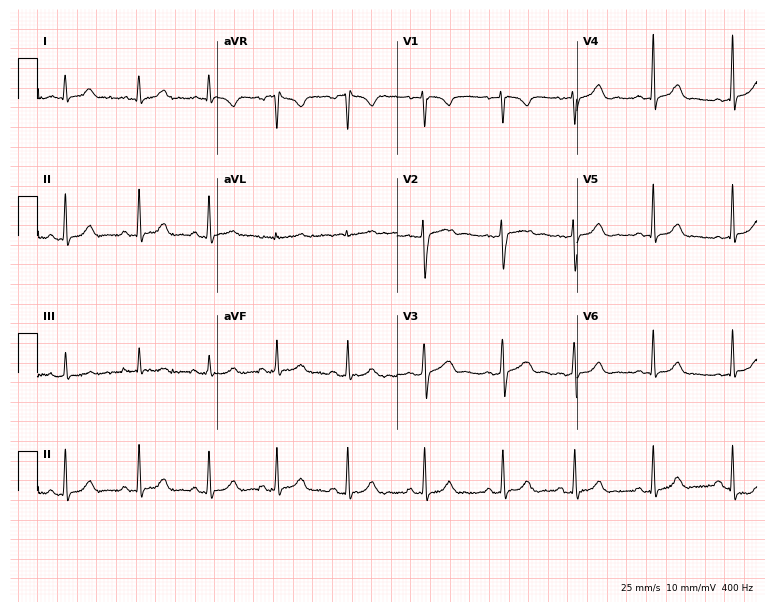
12-lead ECG from a female, 34 years old (7.3-second recording at 400 Hz). Recorded interpretation: within normal limits.